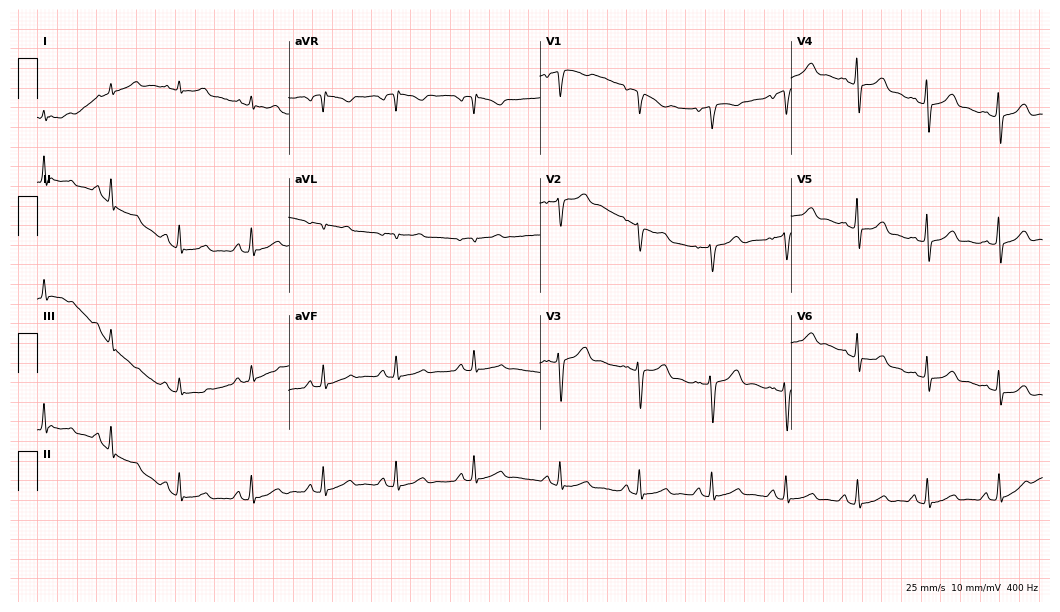
Electrocardiogram (10.2-second recording at 400 Hz), a woman, 21 years old. Overall reading on record: normal ECG.